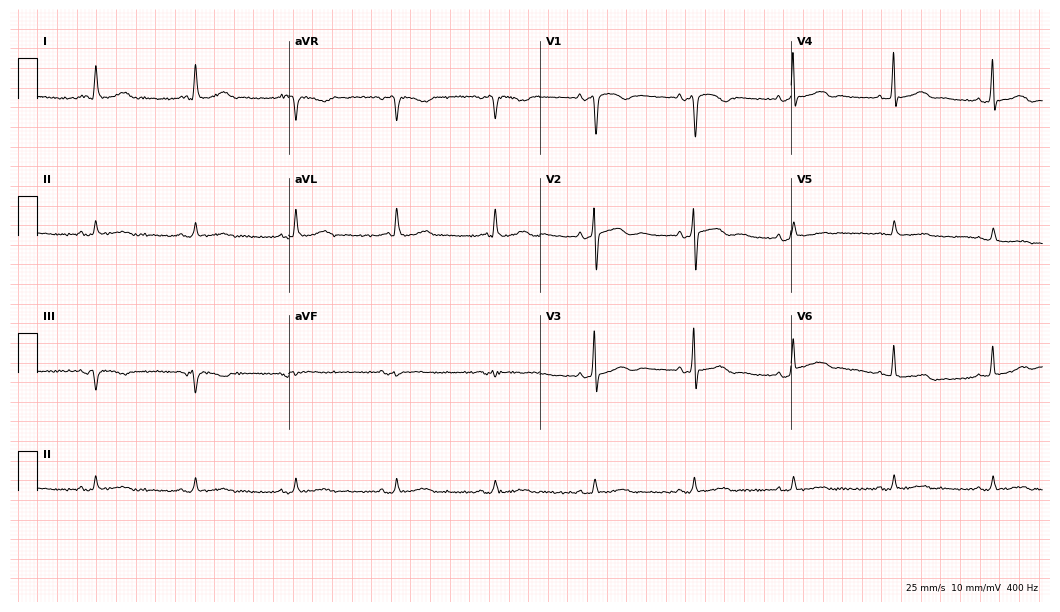
ECG — a 69-year-old man. Screened for six findings — first-degree AV block, right bundle branch block, left bundle branch block, sinus bradycardia, atrial fibrillation, sinus tachycardia — none is recorded. Only these six findings were labelled.